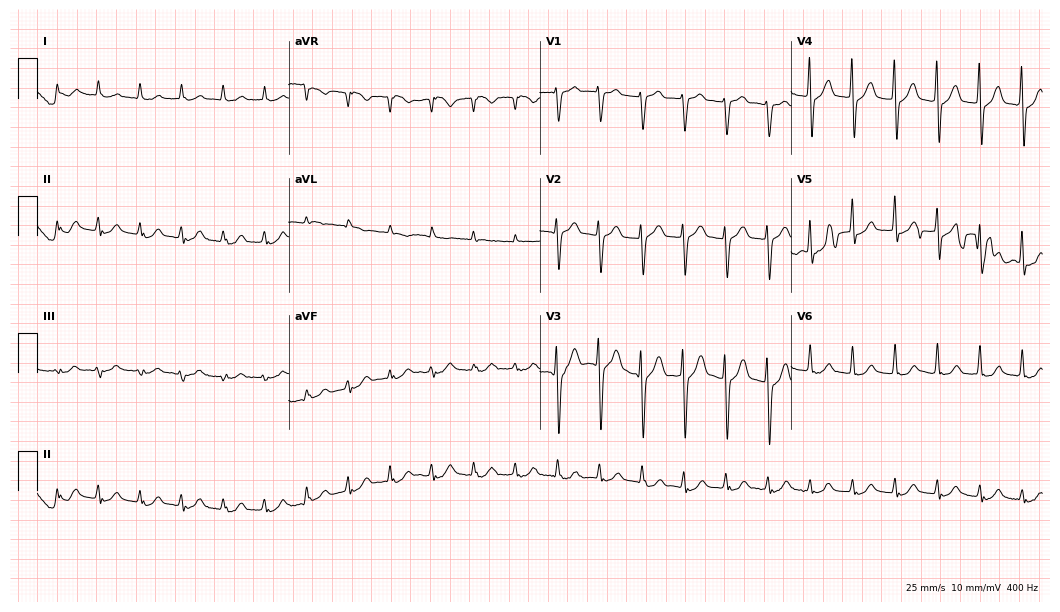
ECG — a man, 76 years old. Findings include sinus tachycardia (a sinus rate of 100 beats per minute or more).